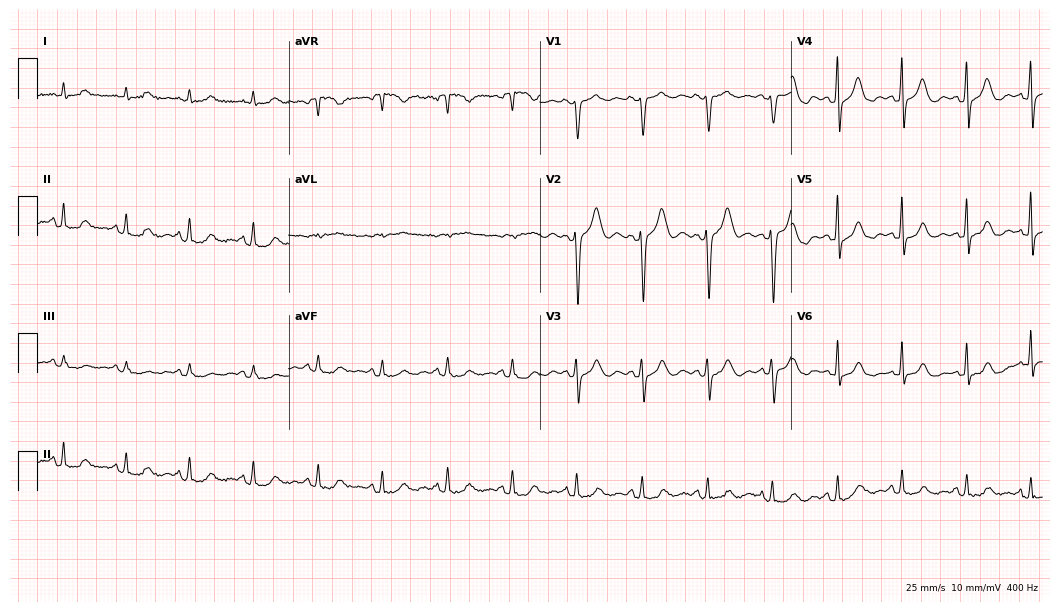
12-lead ECG from an 82-year-old female. Recorded interpretation: within normal limits.